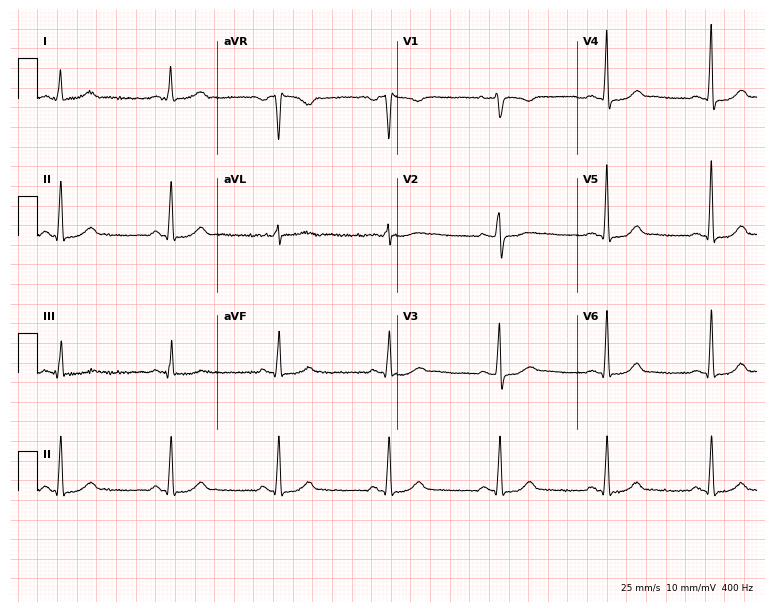
12-lead ECG from a woman, 44 years old. No first-degree AV block, right bundle branch block, left bundle branch block, sinus bradycardia, atrial fibrillation or sinus tachycardia recorded for this tracing.